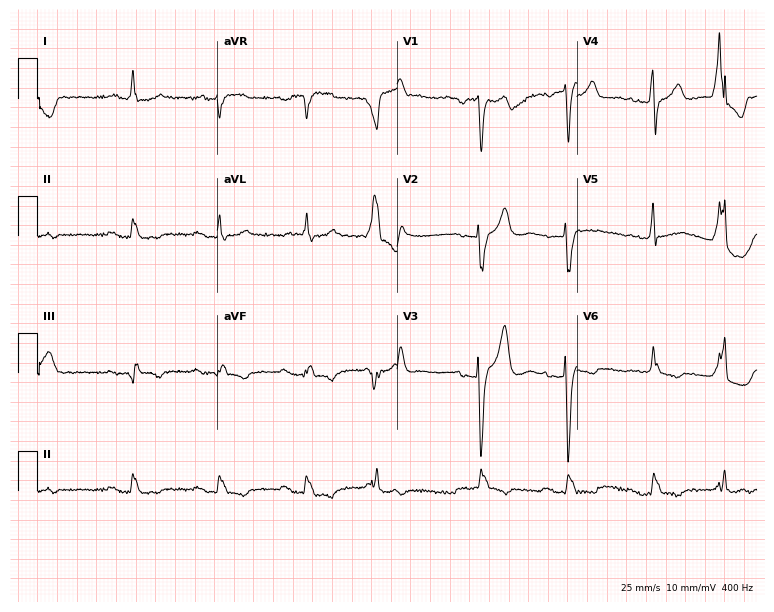
Electrocardiogram (7.3-second recording at 400 Hz), a 63-year-old male. Of the six screened findings (first-degree AV block, right bundle branch block, left bundle branch block, sinus bradycardia, atrial fibrillation, sinus tachycardia), none is recorded.